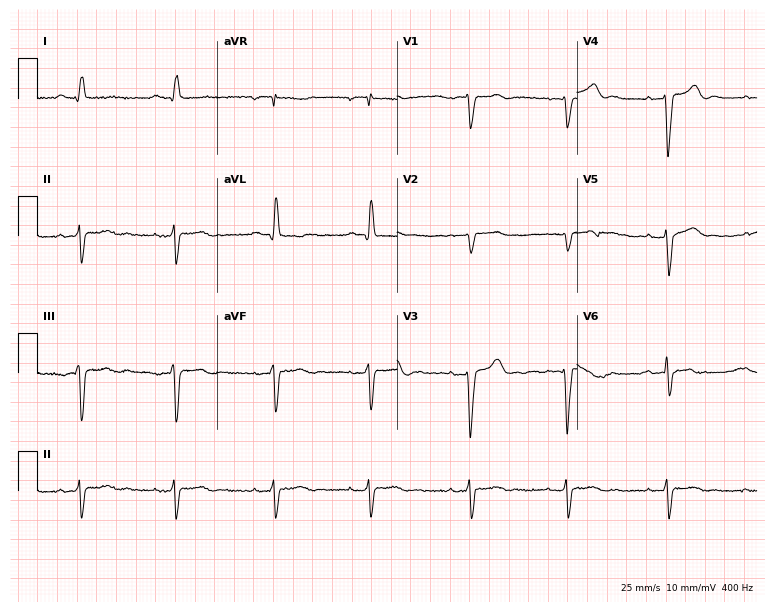
Resting 12-lead electrocardiogram. Patient: a woman, 34 years old. None of these six findings is recorded: first-degree AV block, right bundle branch block, left bundle branch block, sinus bradycardia, atrial fibrillation, sinus tachycardia.